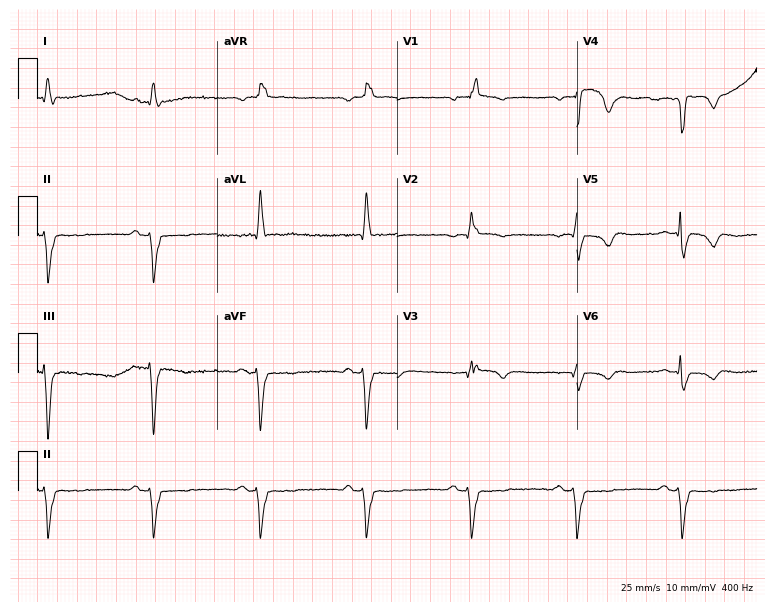
12-lead ECG from a male, 75 years old. Screened for six findings — first-degree AV block, right bundle branch block, left bundle branch block, sinus bradycardia, atrial fibrillation, sinus tachycardia — none is recorded.